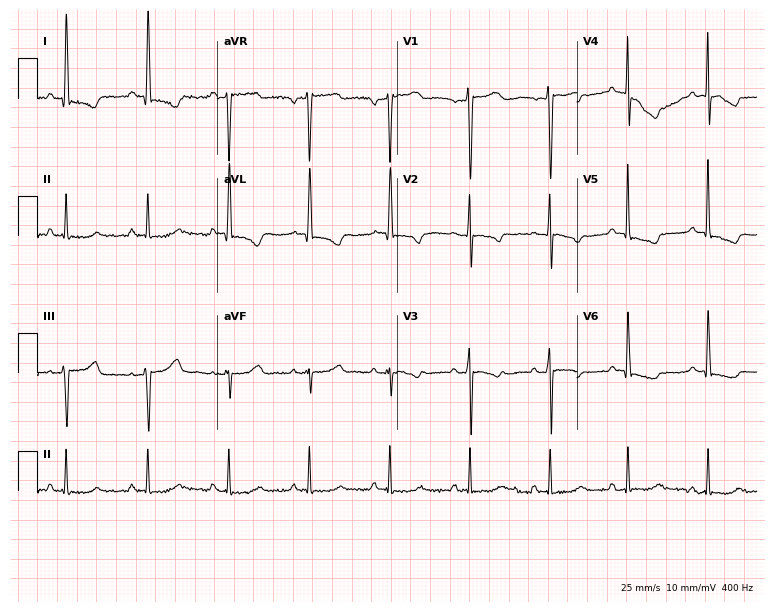
Resting 12-lead electrocardiogram (7.3-second recording at 400 Hz). Patient: a female, 52 years old. None of these six findings is recorded: first-degree AV block, right bundle branch block (RBBB), left bundle branch block (LBBB), sinus bradycardia, atrial fibrillation (AF), sinus tachycardia.